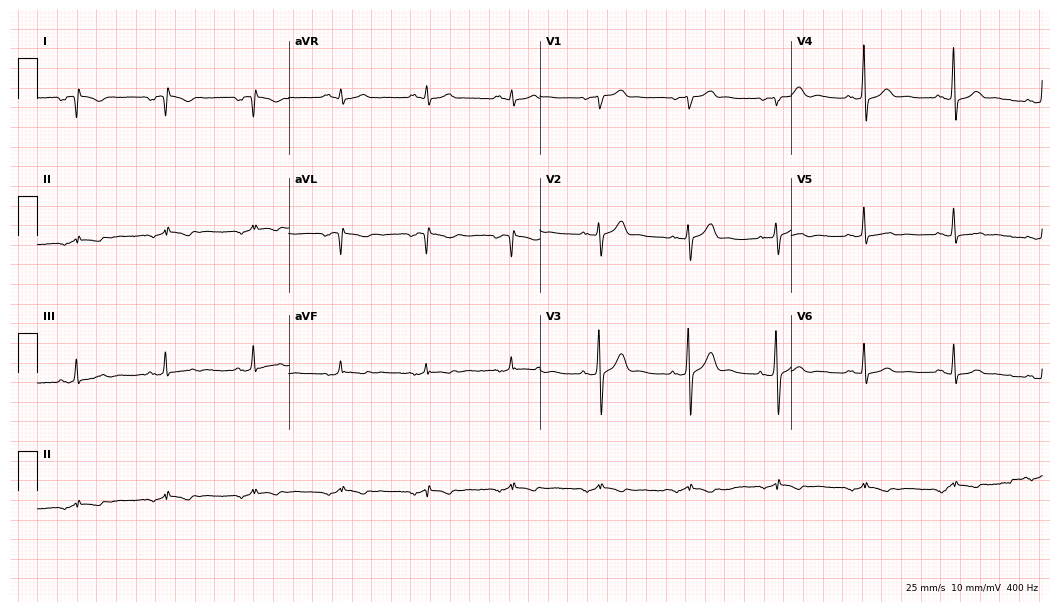
12-lead ECG from a 46-year-old male. No first-degree AV block, right bundle branch block, left bundle branch block, sinus bradycardia, atrial fibrillation or sinus tachycardia recorded for this tracing. Other findings, if any, are not listed.